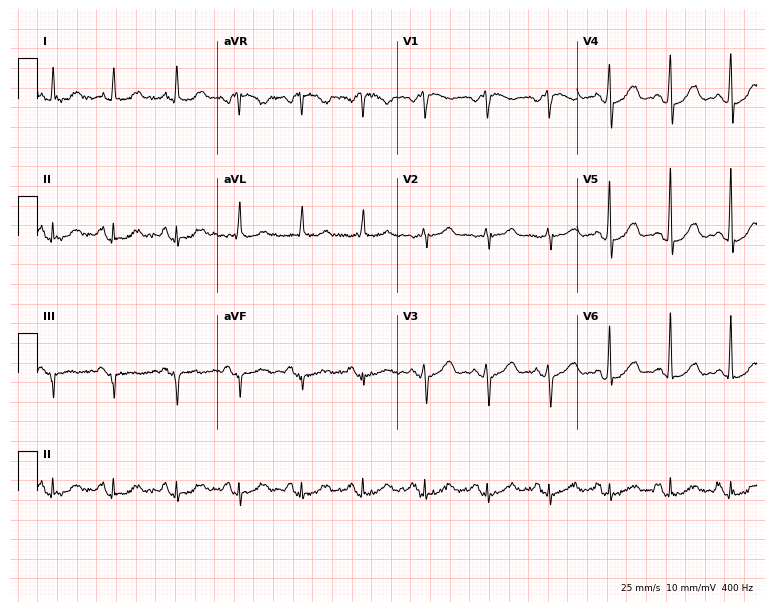
12-lead ECG from a female, 74 years old (7.3-second recording at 400 Hz). Recorded interpretation: within normal limits.